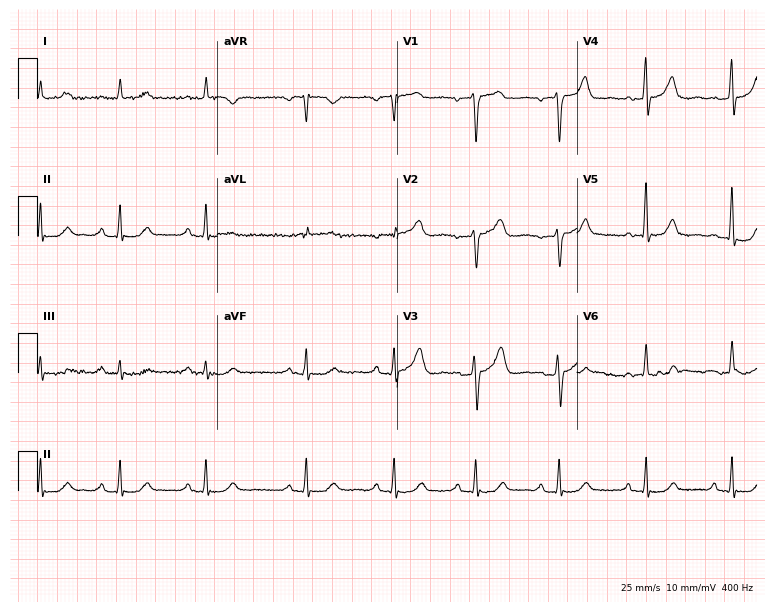
12-lead ECG from a 79-year-old male patient. Recorded interpretation: within normal limits.